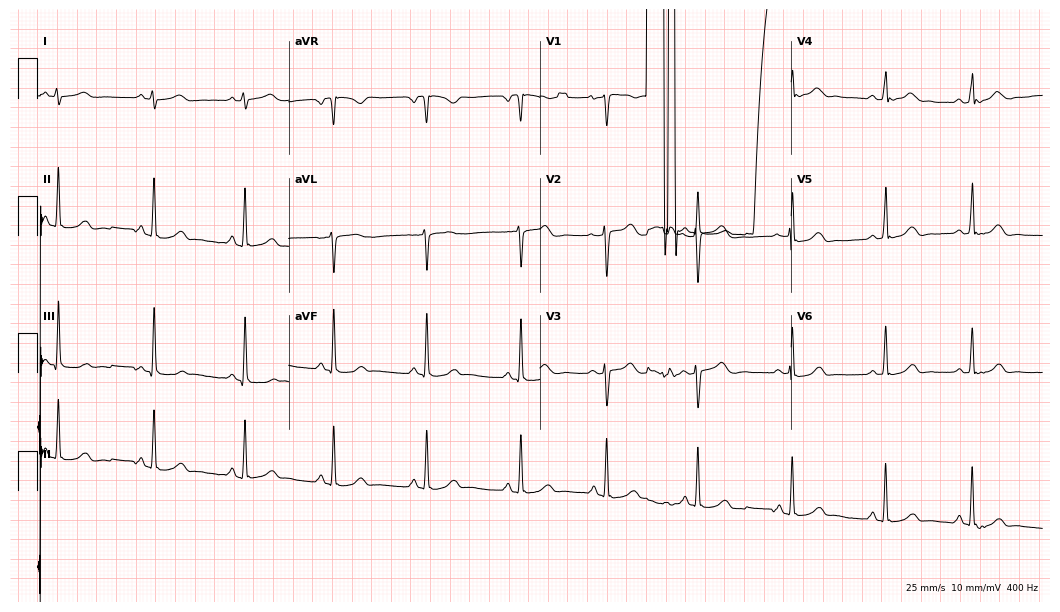
Resting 12-lead electrocardiogram. Patient: a female, 35 years old. None of these six findings is recorded: first-degree AV block, right bundle branch block, left bundle branch block, sinus bradycardia, atrial fibrillation, sinus tachycardia.